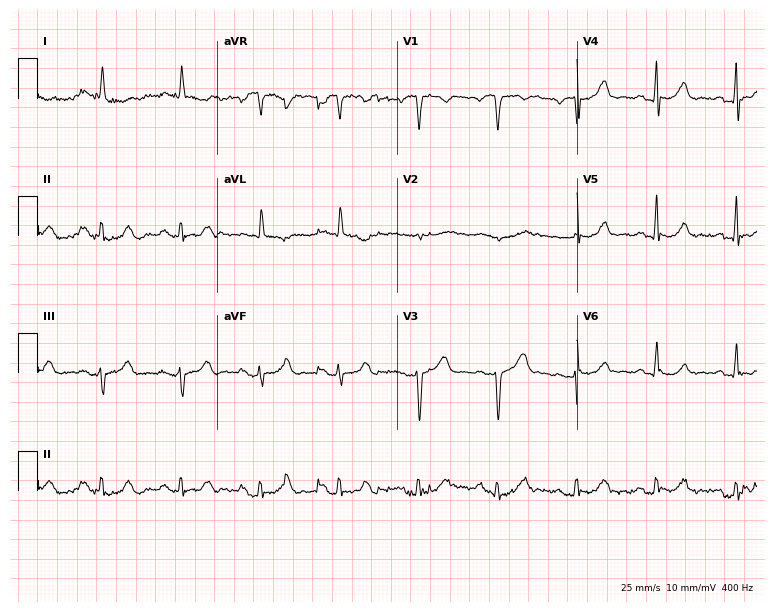
Standard 12-lead ECG recorded from a female patient, 78 years old (7.3-second recording at 400 Hz). None of these six findings is recorded: first-degree AV block, right bundle branch block (RBBB), left bundle branch block (LBBB), sinus bradycardia, atrial fibrillation (AF), sinus tachycardia.